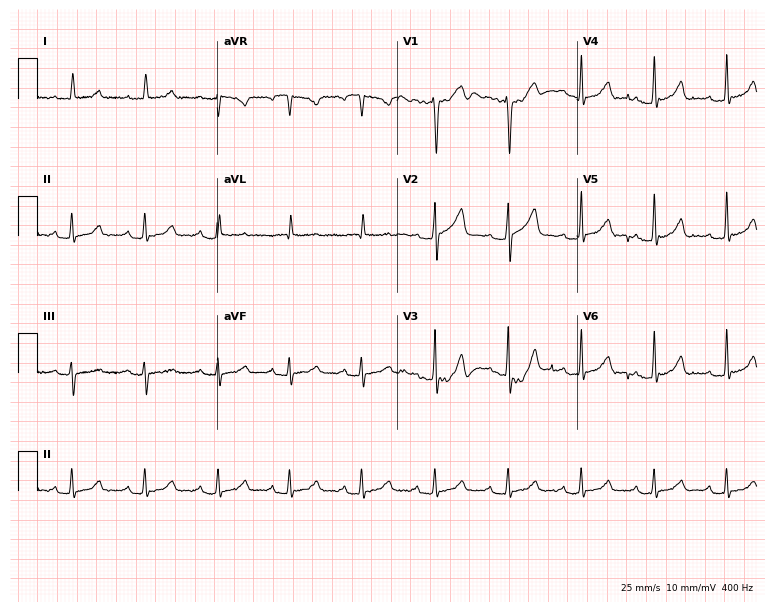
Standard 12-lead ECG recorded from a 59-year-old female patient. Read as a normal ECG.